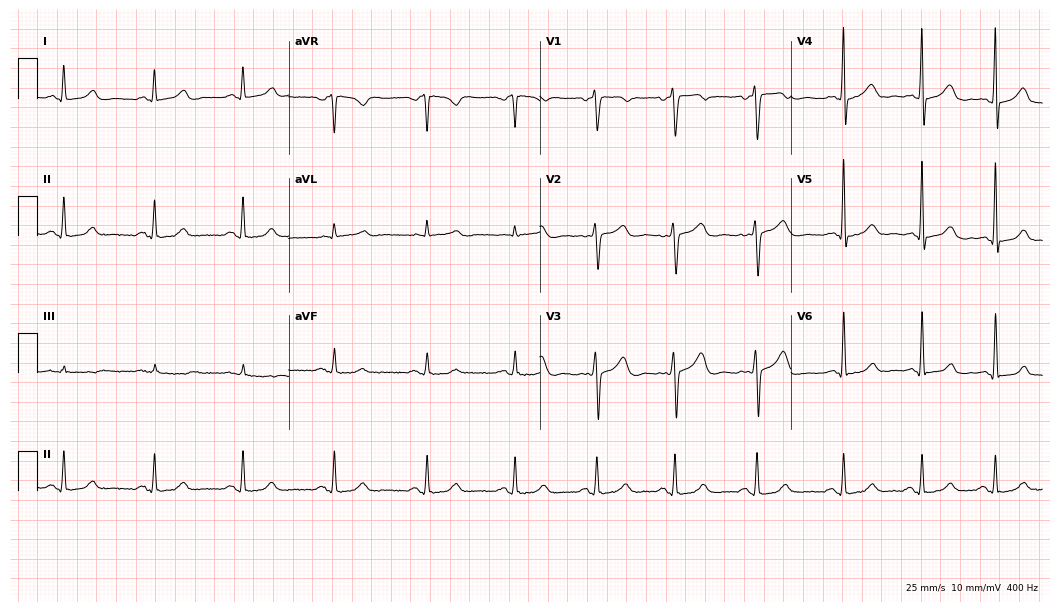
Standard 12-lead ECG recorded from a female, 45 years old. None of these six findings is recorded: first-degree AV block, right bundle branch block, left bundle branch block, sinus bradycardia, atrial fibrillation, sinus tachycardia.